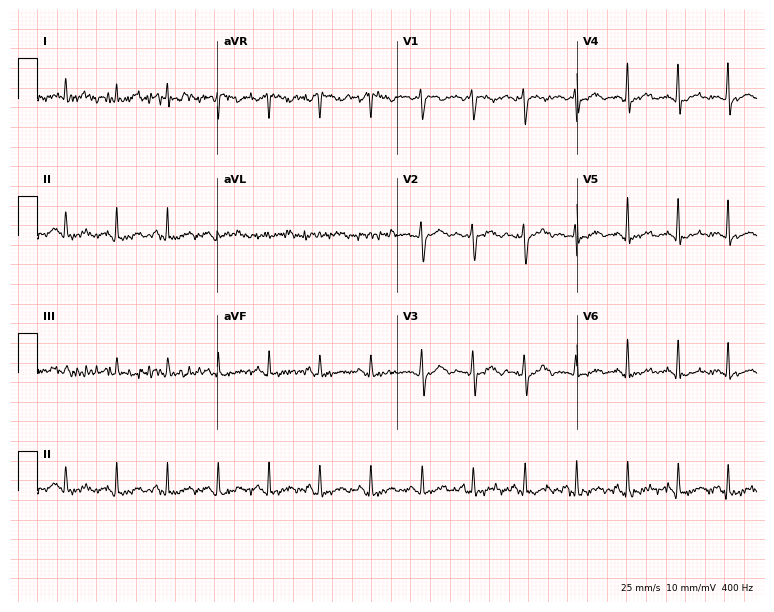
ECG (7.3-second recording at 400 Hz) — a female patient, 36 years old. Findings include sinus tachycardia (a sinus rate of 100 beats per minute or more).